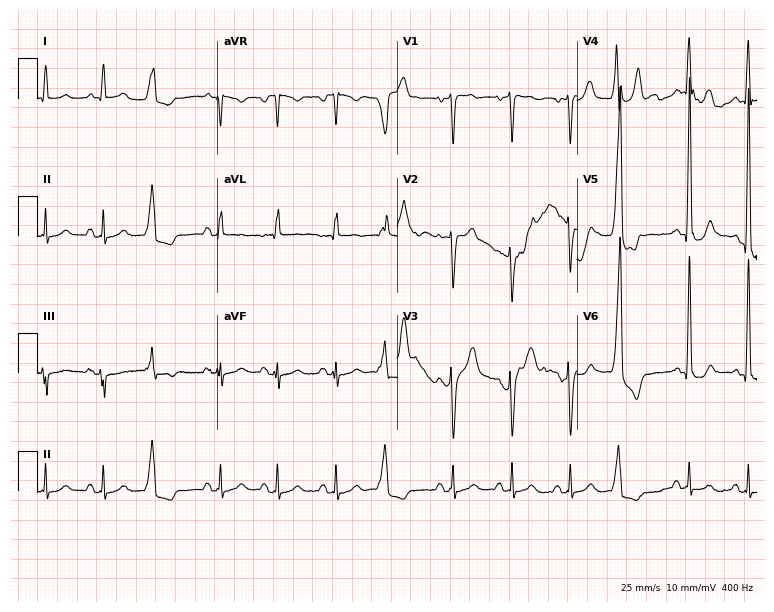
12-lead ECG from a male patient, 79 years old. Screened for six findings — first-degree AV block, right bundle branch block, left bundle branch block, sinus bradycardia, atrial fibrillation, sinus tachycardia — none is recorded.